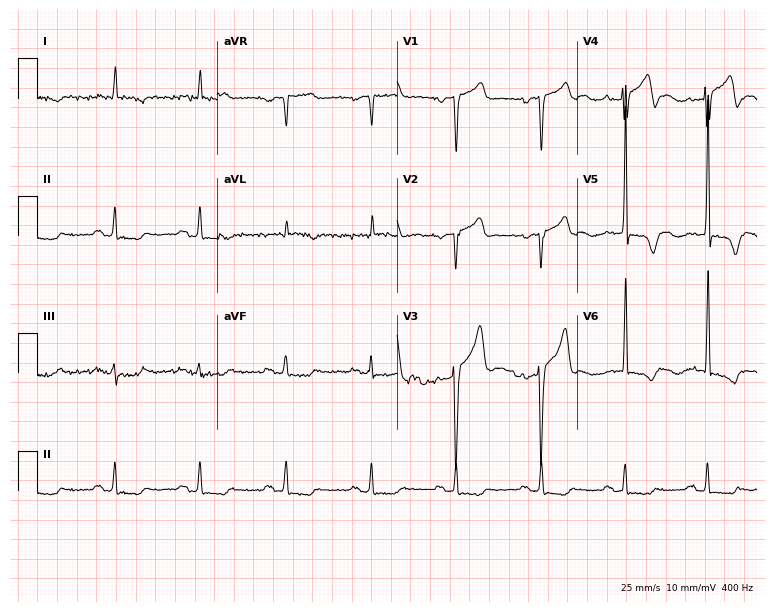
Electrocardiogram (7.3-second recording at 400 Hz), a male, 74 years old. Of the six screened findings (first-degree AV block, right bundle branch block (RBBB), left bundle branch block (LBBB), sinus bradycardia, atrial fibrillation (AF), sinus tachycardia), none is recorded.